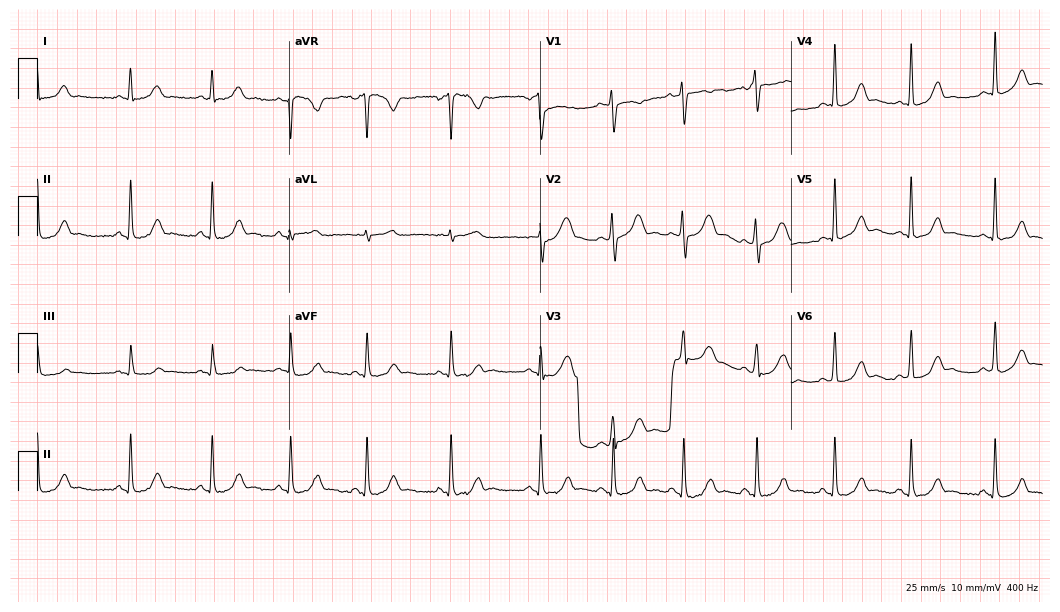
Electrocardiogram, a 17-year-old woman. Overall reading on record: normal ECG.